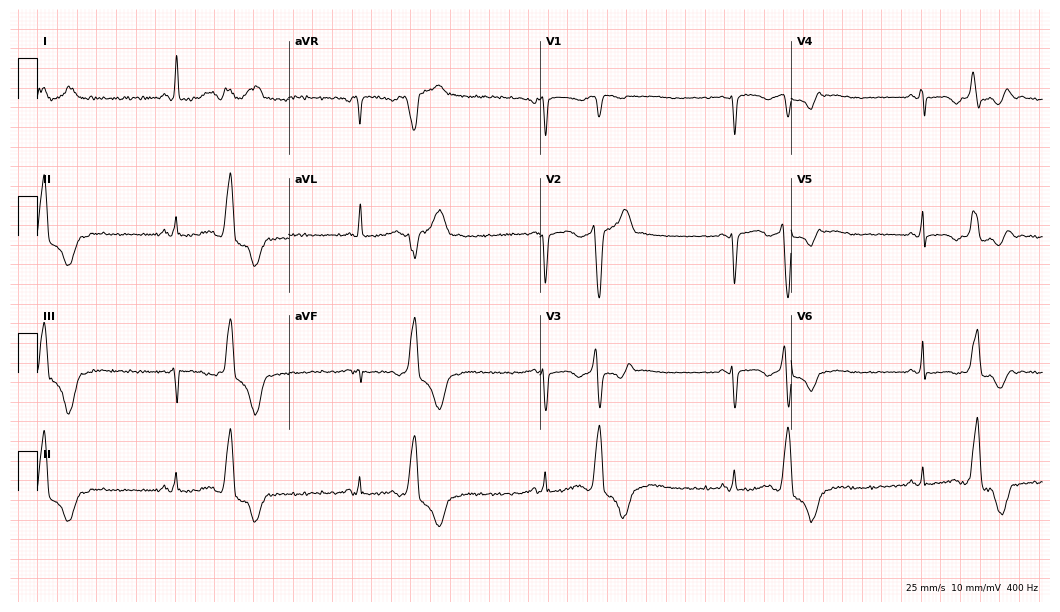
12-lead ECG from a 46-year-old woman. No first-degree AV block, right bundle branch block, left bundle branch block, sinus bradycardia, atrial fibrillation or sinus tachycardia recorded for this tracing.